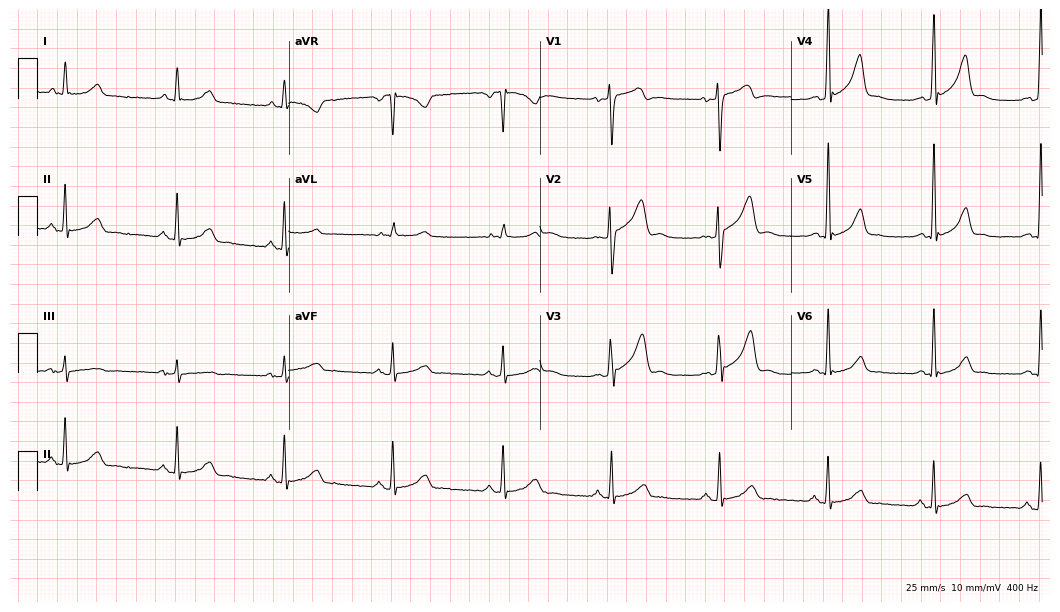
Resting 12-lead electrocardiogram (10.2-second recording at 400 Hz). Patient: a 48-year-old woman. None of these six findings is recorded: first-degree AV block, right bundle branch block (RBBB), left bundle branch block (LBBB), sinus bradycardia, atrial fibrillation (AF), sinus tachycardia. Findings outside these six are not listed.